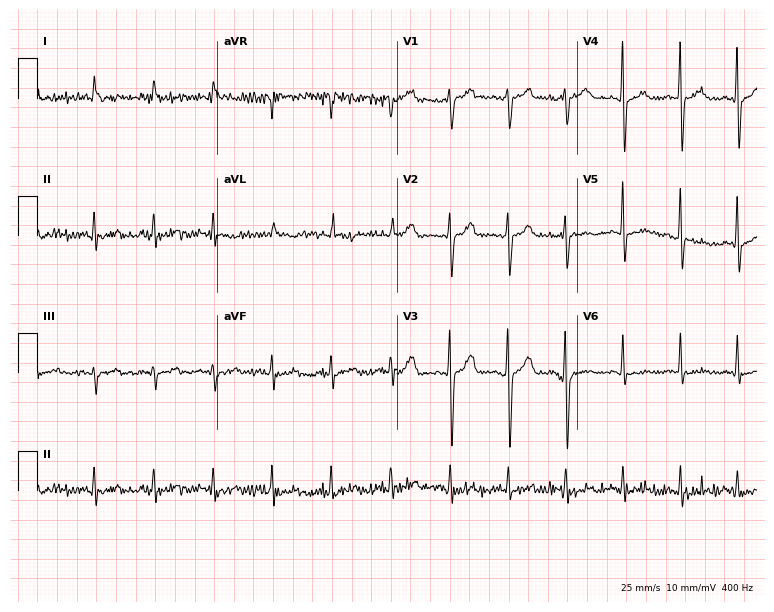
Standard 12-lead ECG recorded from a 73-year-old man (7.3-second recording at 400 Hz). None of these six findings is recorded: first-degree AV block, right bundle branch block (RBBB), left bundle branch block (LBBB), sinus bradycardia, atrial fibrillation (AF), sinus tachycardia.